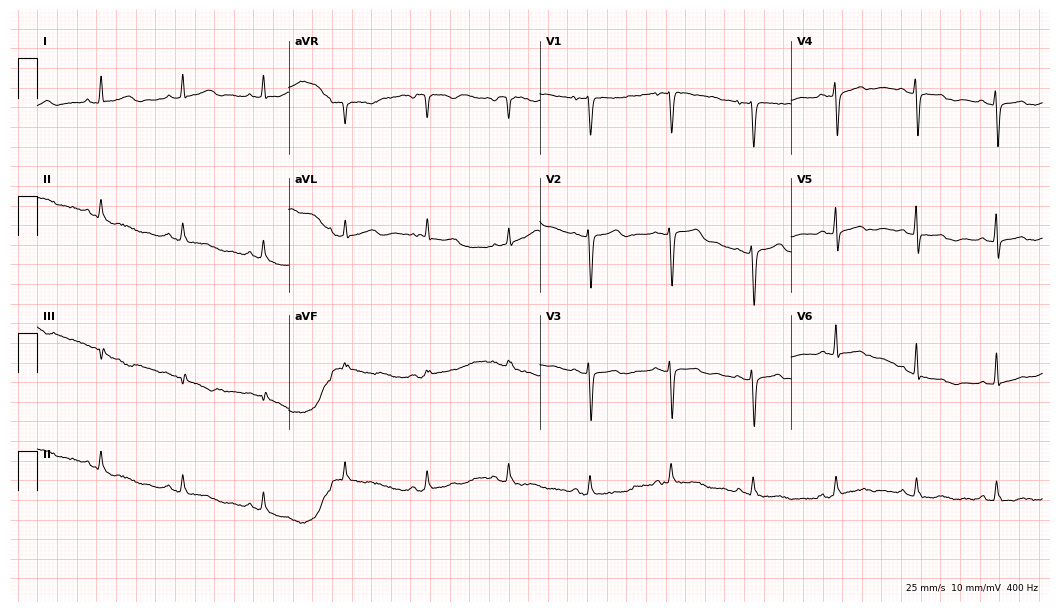
Standard 12-lead ECG recorded from a female, 56 years old (10.2-second recording at 400 Hz). None of these six findings is recorded: first-degree AV block, right bundle branch block (RBBB), left bundle branch block (LBBB), sinus bradycardia, atrial fibrillation (AF), sinus tachycardia.